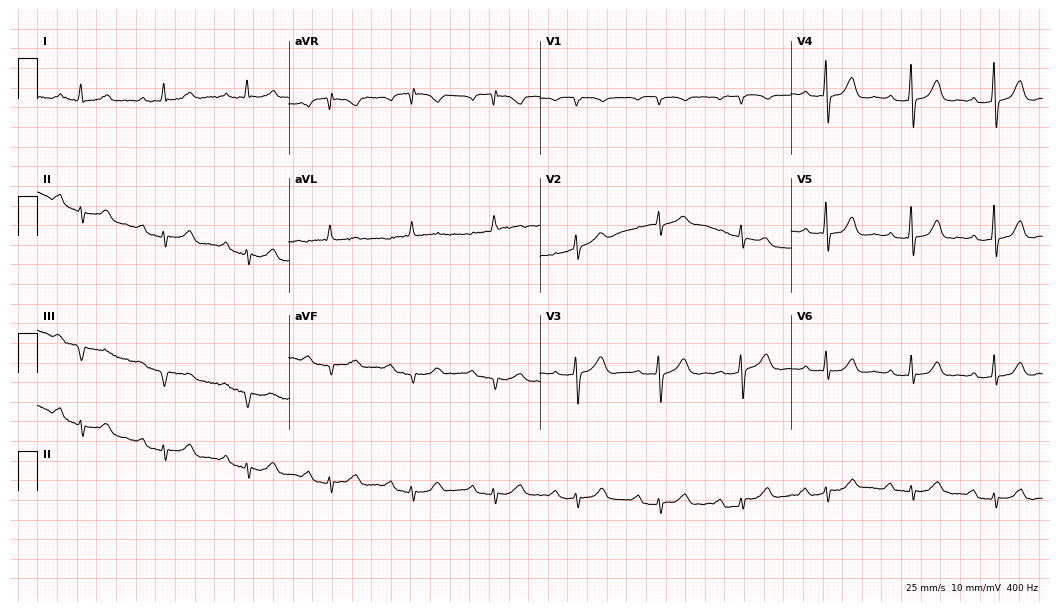
Resting 12-lead electrocardiogram (10.2-second recording at 400 Hz). Patient: a 78-year-old female. None of these six findings is recorded: first-degree AV block, right bundle branch block (RBBB), left bundle branch block (LBBB), sinus bradycardia, atrial fibrillation (AF), sinus tachycardia. Other findings, if any, are not listed.